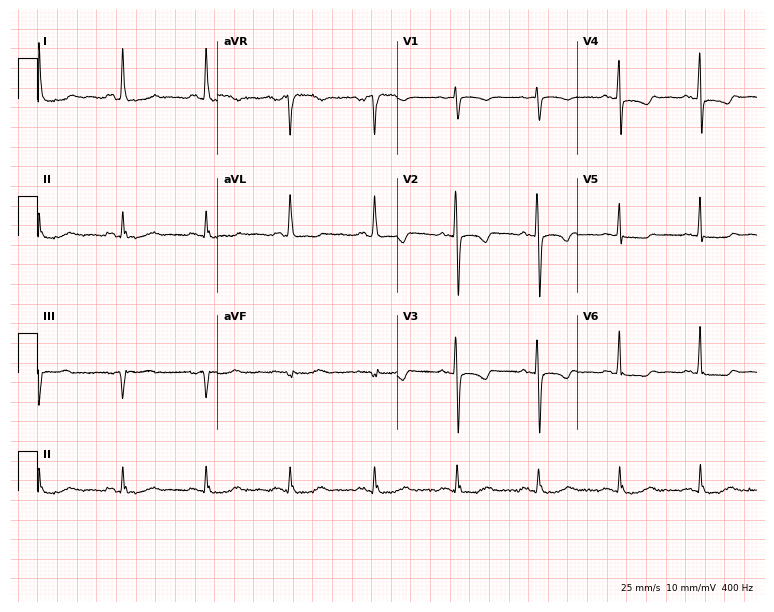
Resting 12-lead electrocardiogram. Patient: a 60-year-old female. None of these six findings is recorded: first-degree AV block, right bundle branch block, left bundle branch block, sinus bradycardia, atrial fibrillation, sinus tachycardia.